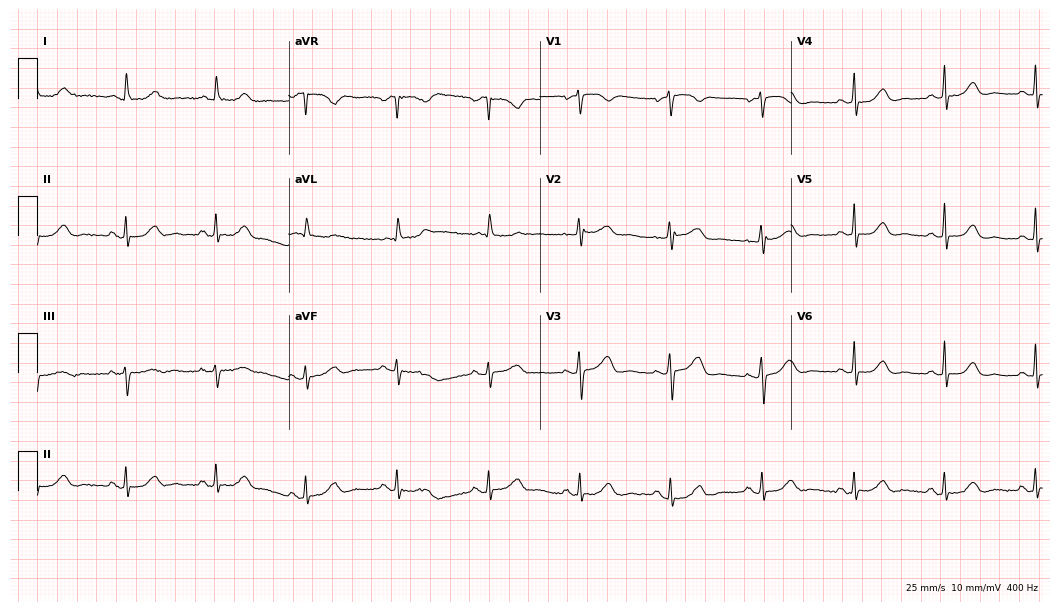
Resting 12-lead electrocardiogram (10.2-second recording at 400 Hz). Patient: a female, 79 years old. None of these six findings is recorded: first-degree AV block, right bundle branch block, left bundle branch block, sinus bradycardia, atrial fibrillation, sinus tachycardia.